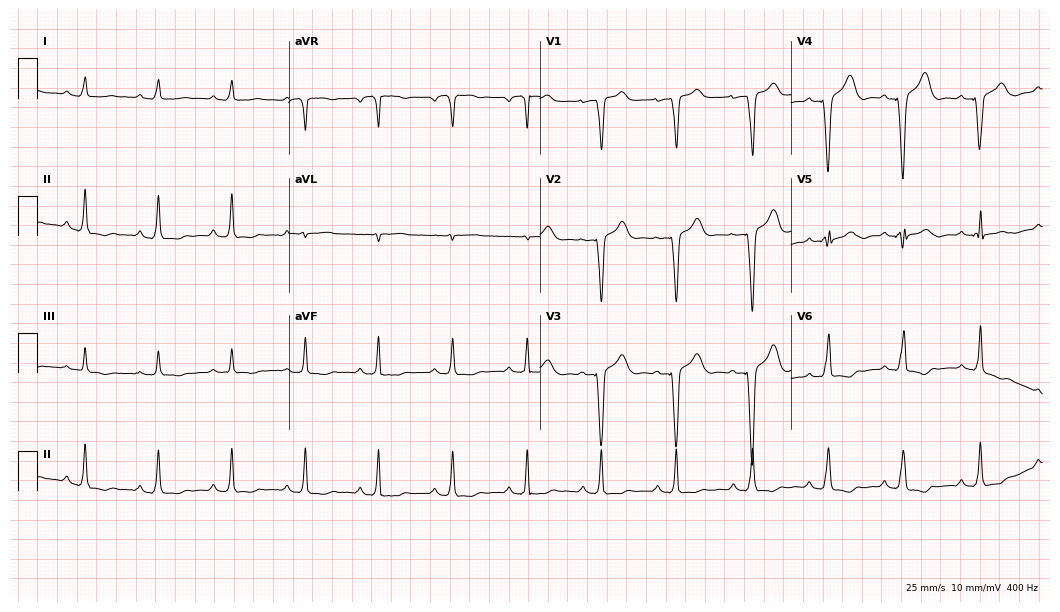
Resting 12-lead electrocardiogram (10.2-second recording at 400 Hz). Patient: a 66-year-old female. None of these six findings is recorded: first-degree AV block, right bundle branch block, left bundle branch block, sinus bradycardia, atrial fibrillation, sinus tachycardia. Other findings, if any, are not listed.